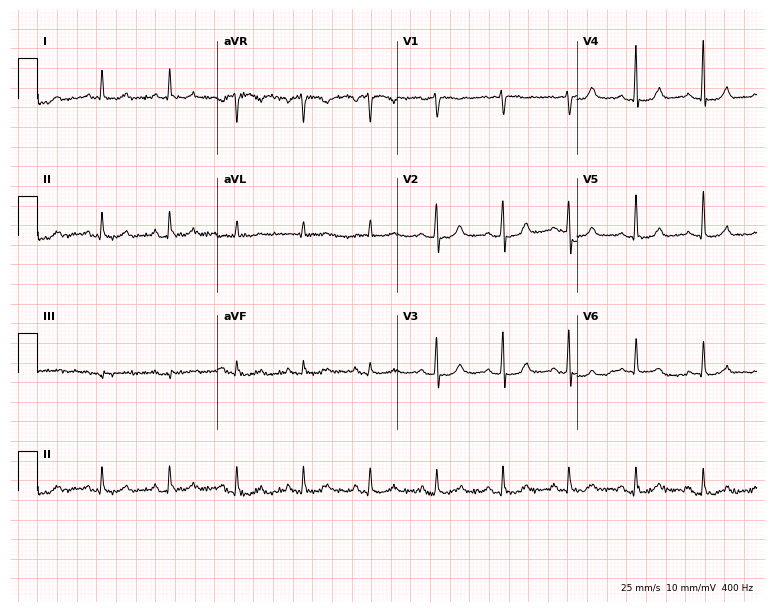
12-lead ECG from a 68-year-old female patient (7.3-second recording at 400 Hz). No first-degree AV block, right bundle branch block, left bundle branch block, sinus bradycardia, atrial fibrillation or sinus tachycardia recorded for this tracing. Findings outside these six are not listed.